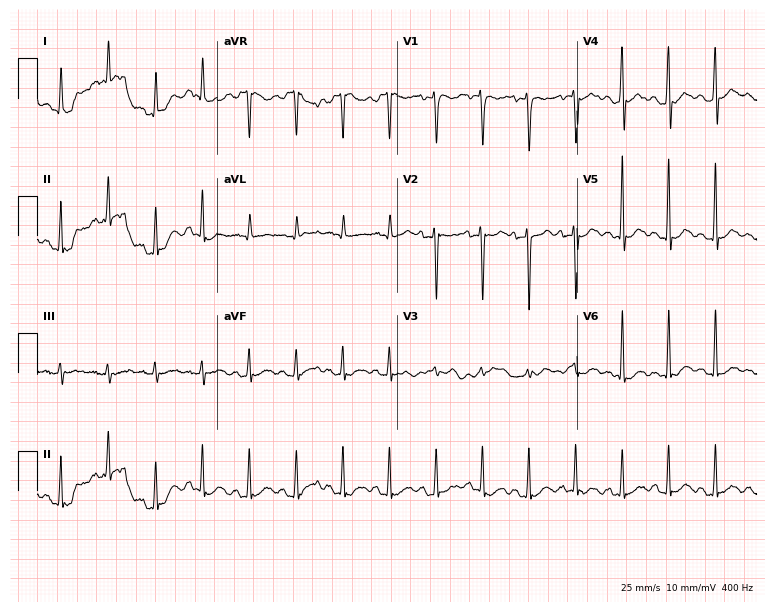
ECG (7.3-second recording at 400 Hz) — a woman, 25 years old. Findings include sinus tachycardia (a sinus rate of 100 beats per minute or more).